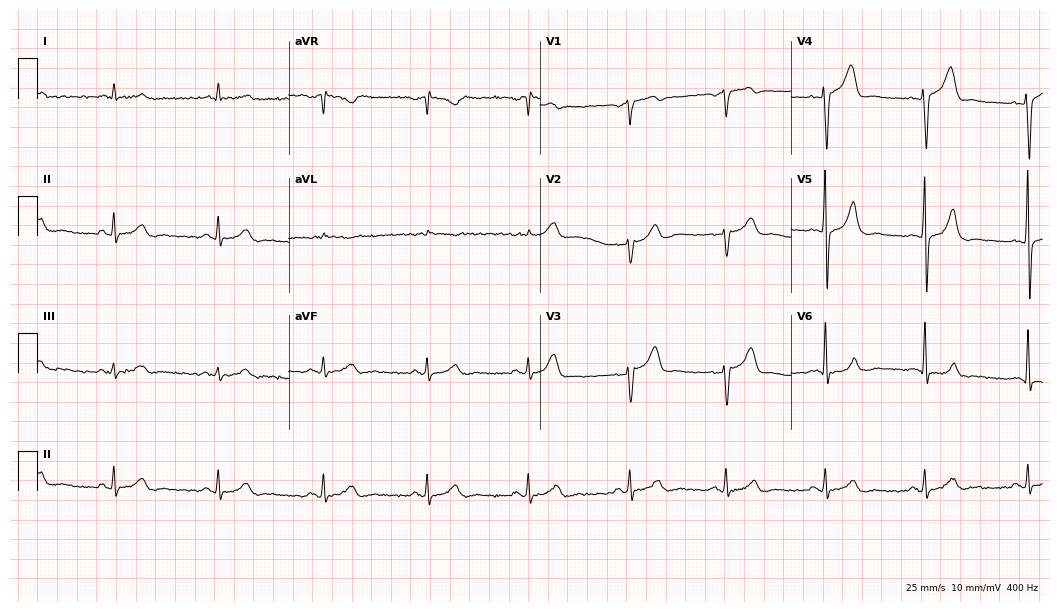
Resting 12-lead electrocardiogram. Patient: a 50-year-old male. None of these six findings is recorded: first-degree AV block, right bundle branch block, left bundle branch block, sinus bradycardia, atrial fibrillation, sinus tachycardia. Findings outside these six are not listed.